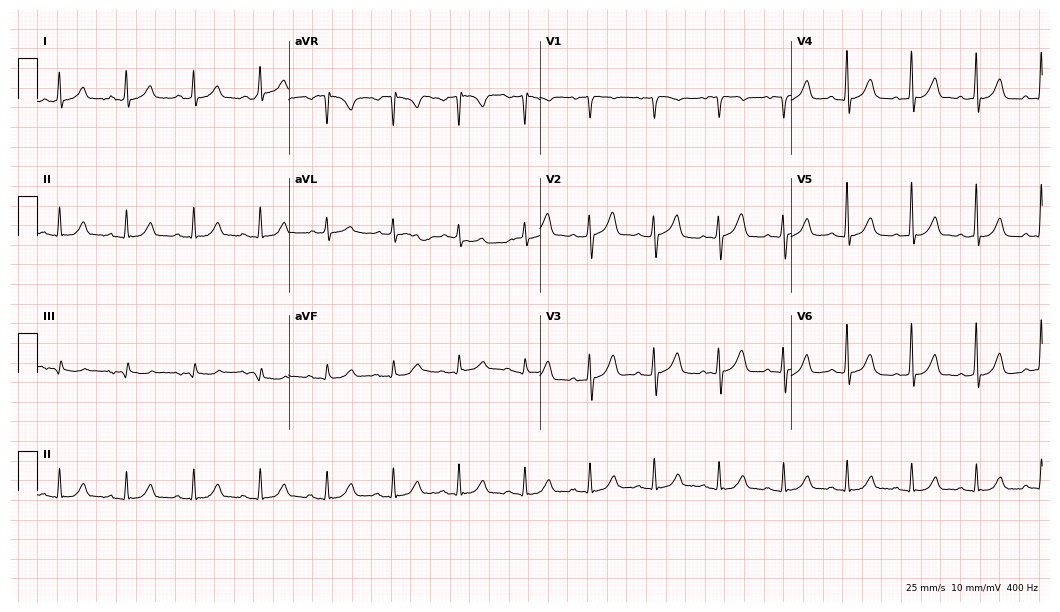
12-lead ECG from a man, 65 years old (10.2-second recording at 400 Hz). No first-degree AV block, right bundle branch block, left bundle branch block, sinus bradycardia, atrial fibrillation or sinus tachycardia recorded for this tracing.